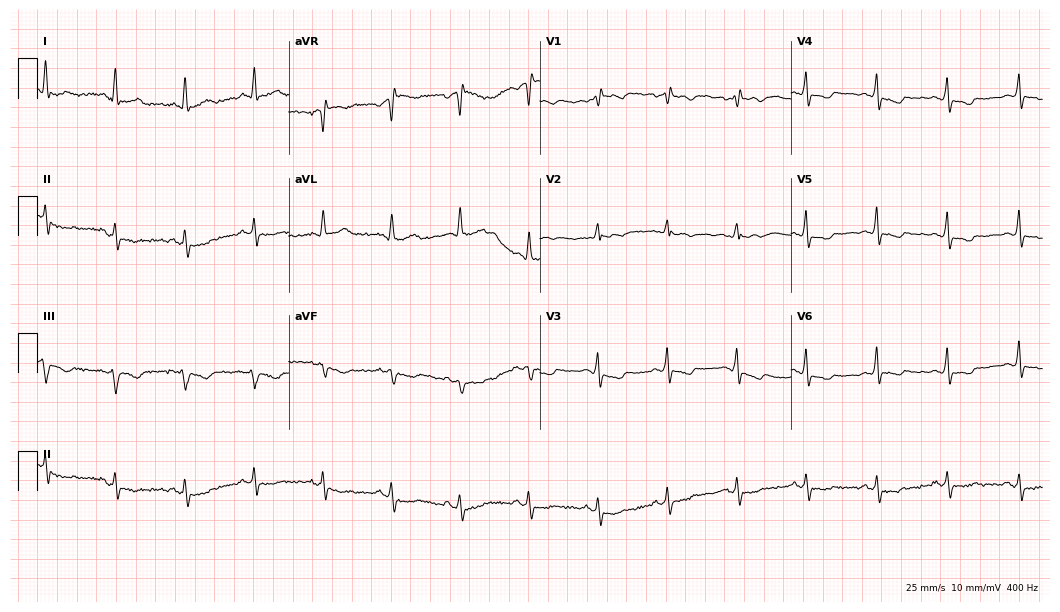
ECG (10.2-second recording at 400 Hz) — a 66-year-old woman. Screened for six findings — first-degree AV block, right bundle branch block (RBBB), left bundle branch block (LBBB), sinus bradycardia, atrial fibrillation (AF), sinus tachycardia — none is recorded.